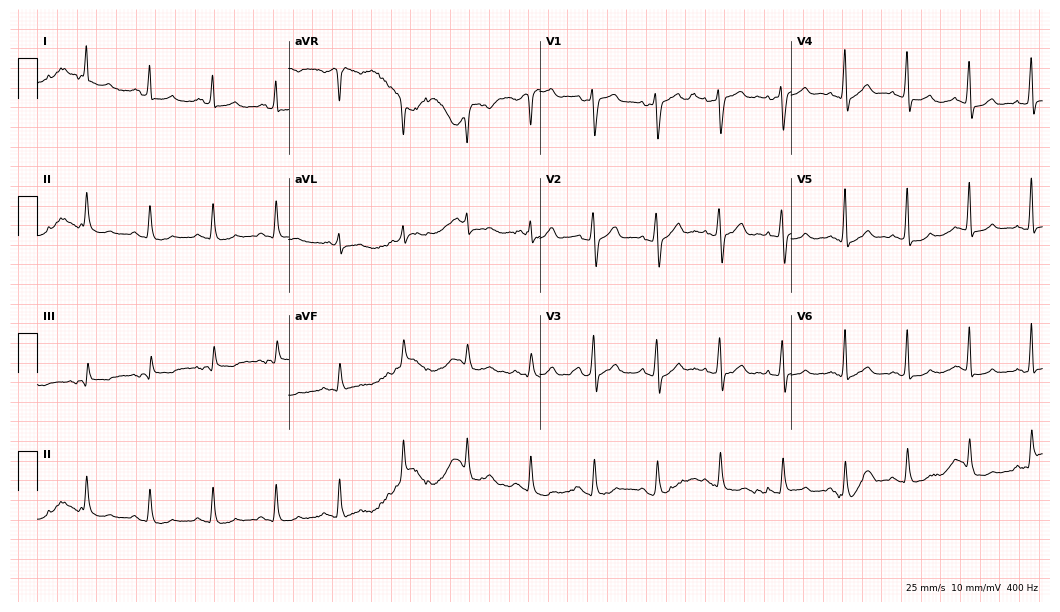
12-lead ECG from a 55-year-old male patient. Recorded interpretation: within normal limits.